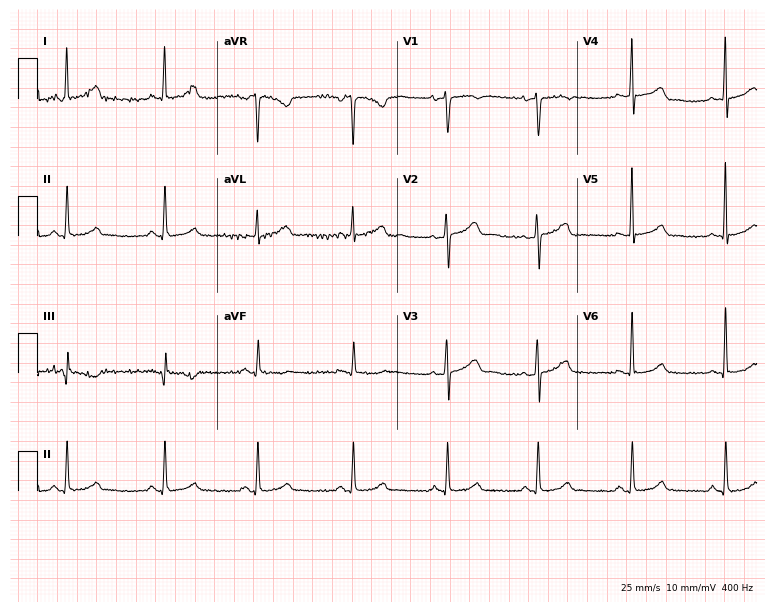
ECG — a 44-year-old female. Screened for six findings — first-degree AV block, right bundle branch block (RBBB), left bundle branch block (LBBB), sinus bradycardia, atrial fibrillation (AF), sinus tachycardia — none is recorded.